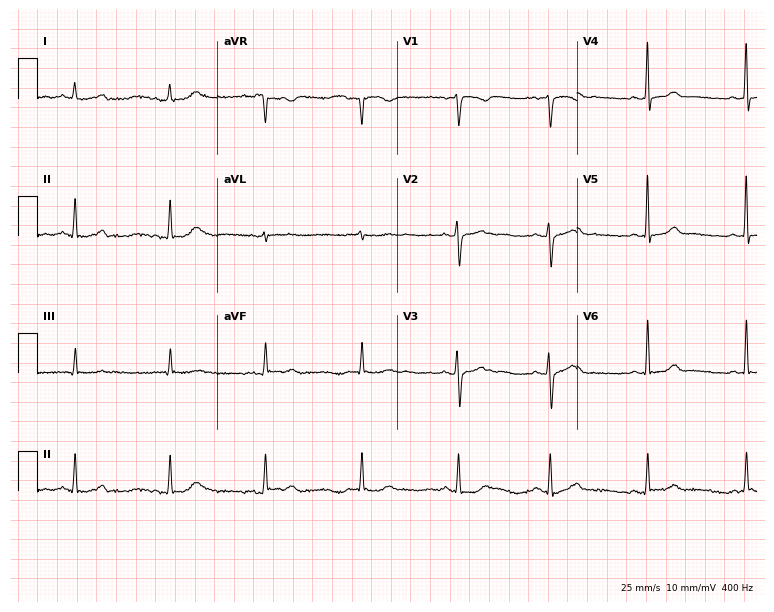
Standard 12-lead ECG recorded from a 45-year-old female patient (7.3-second recording at 400 Hz). Read as a normal ECG.